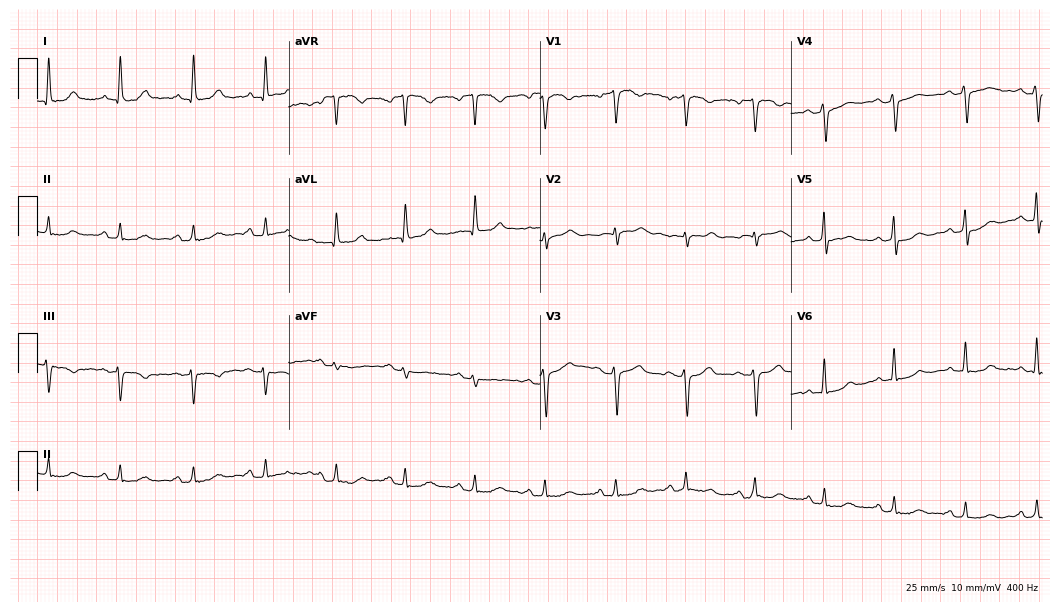
Electrocardiogram, a 54-year-old male. Of the six screened findings (first-degree AV block, right bundle branch block, left bundle branch block, sinus bradycardia, atrial fibrillation, sinus tachycardia), none is recorded.